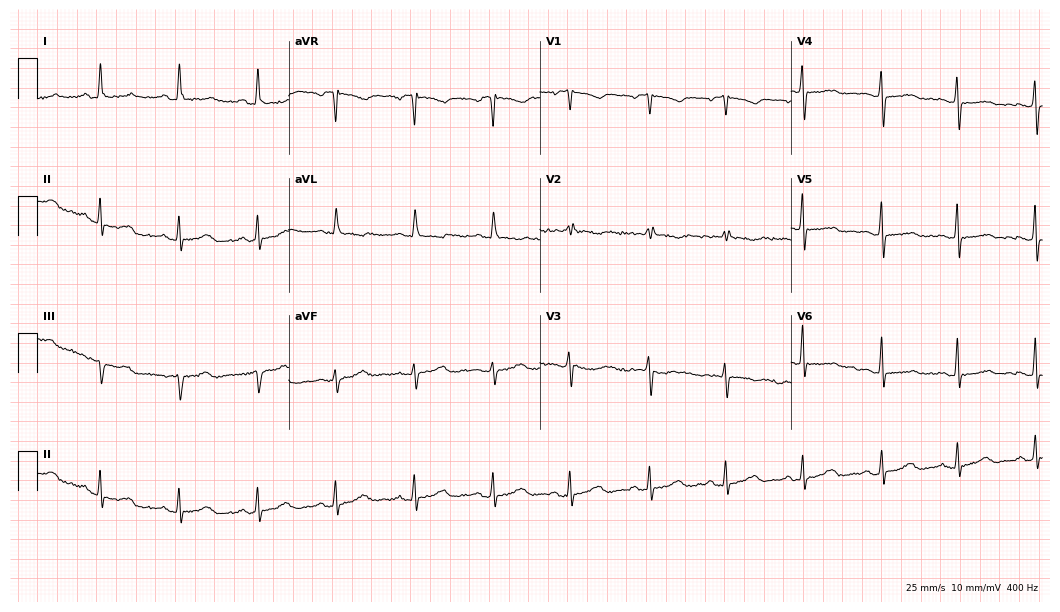
Electrocardiogram (10.2-second recording at 400 Hz), a female patient, 68 years old. Overall reading on record: normal ECG.